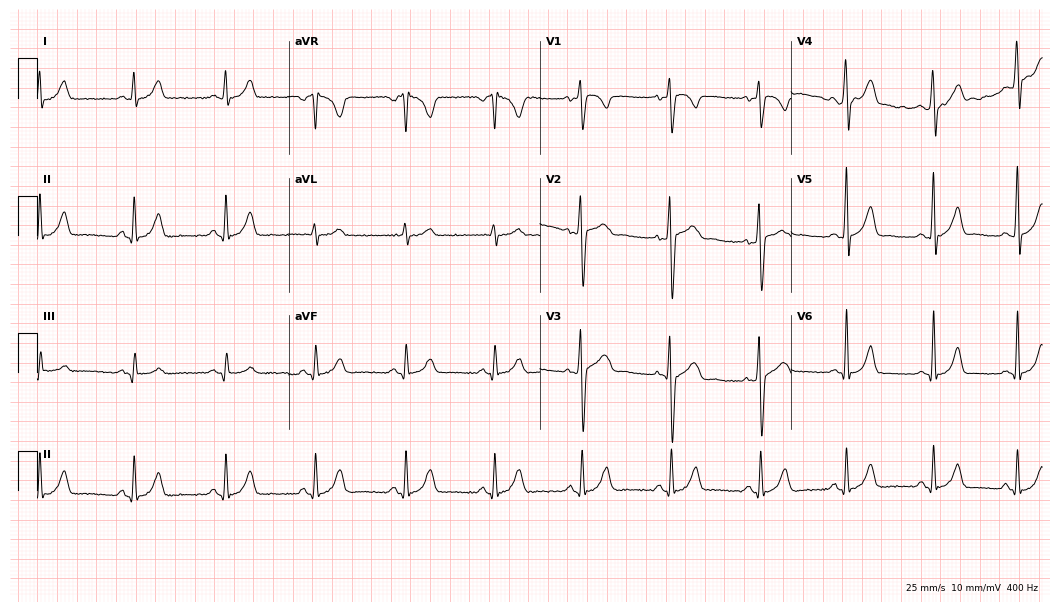
Standard 12-lead ECG recorded from a 27-year-old man. Read as a normal ECG.